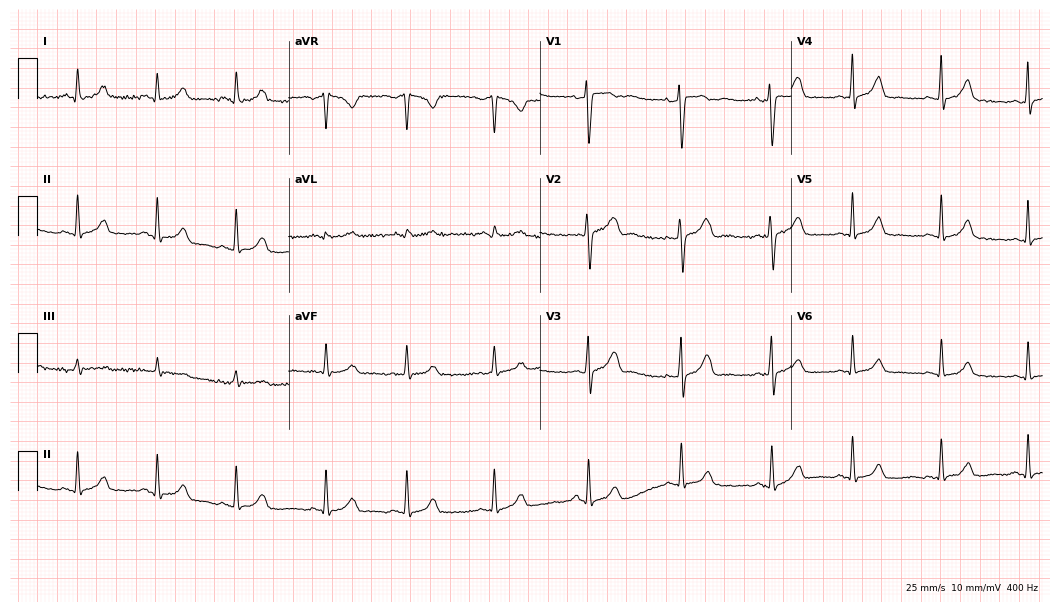
Standard 12-lead ECG recorded from a female, 20 years old (10.2-second recording at 400 Hz). Read as a normal ECG.